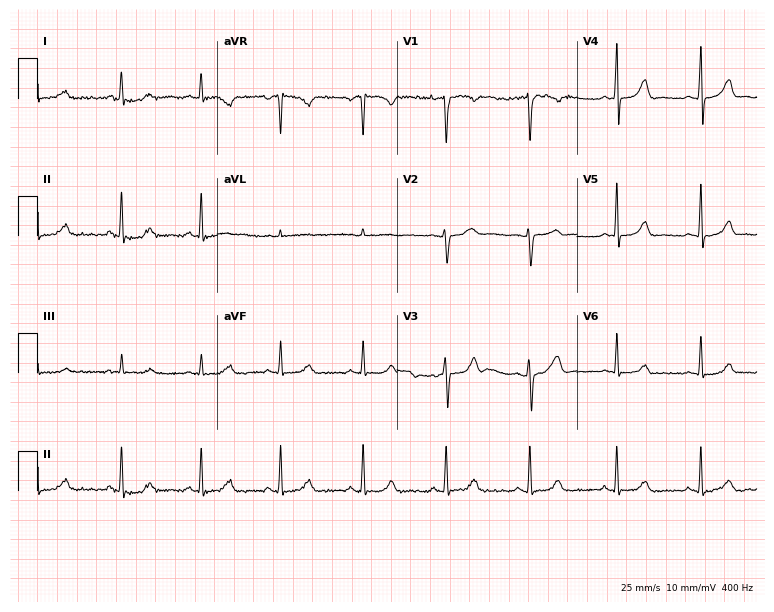
ECG (7.3-second recording at 400 Hz) — a 36-year-old female. Screened for six findings — first-degree AV block, right bundle branch block, left bundle branch block, sinus bradycardia, atrial fibrillation, sinus tachycardia — none is recorded.